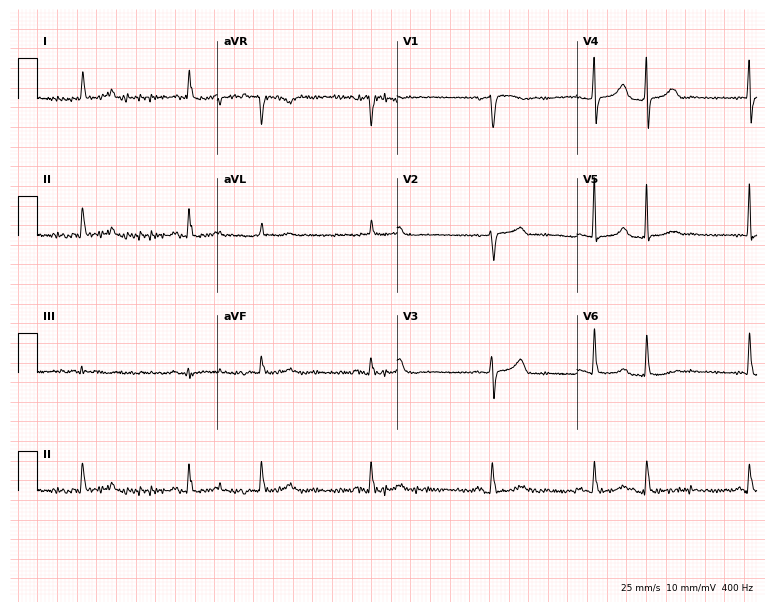
Resting 12-lead electrocardiogram (7.3-second recording at 400 Hz). Patient: a woman, 86 years old. None of these six findings is recorded: first-degree AV block, right bundle branch block, left bundle branch block, sinus bradycardia, atrial fibrillation, sinus tachycardia.